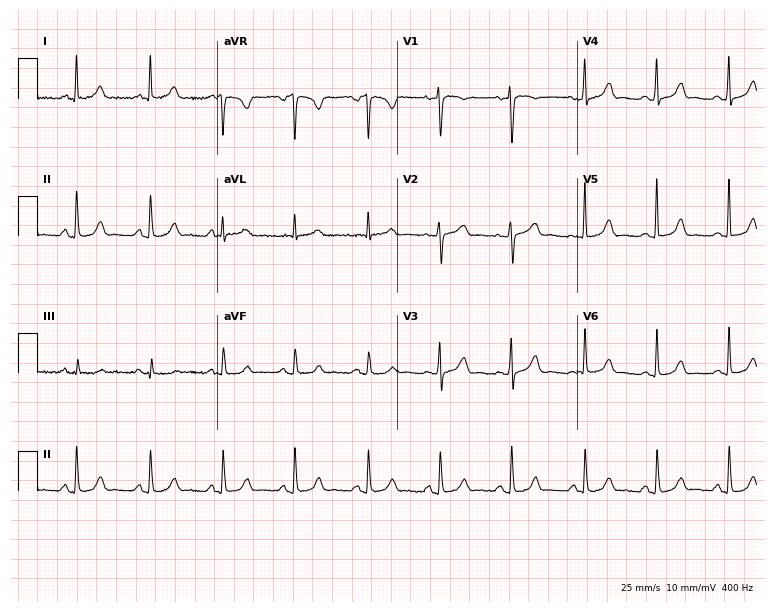
ECG — a 57-year-old female. Labelled as a normal ECG.